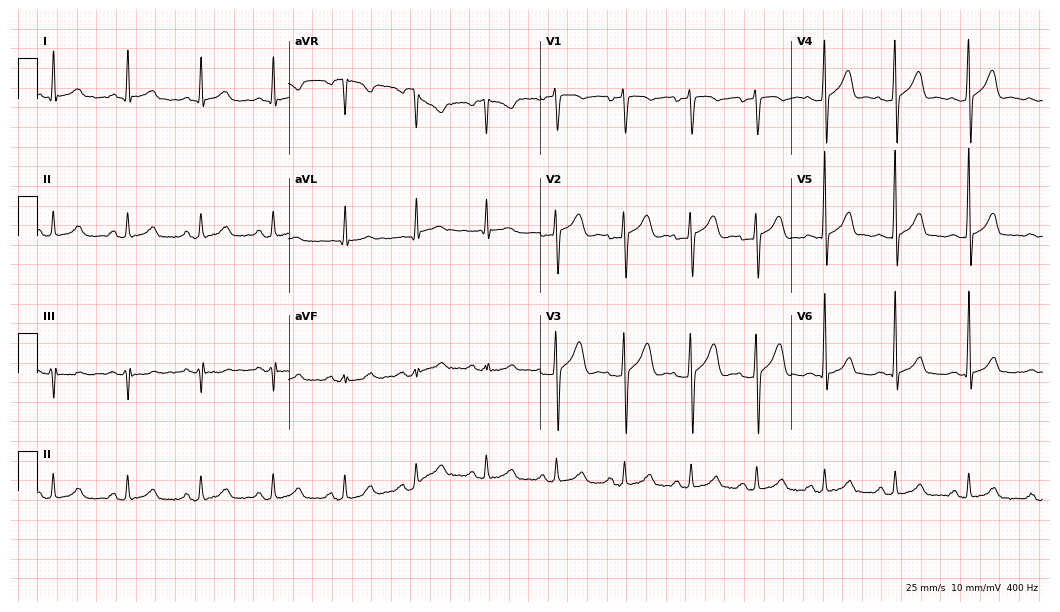
Standard 12-lead ECG recorded from a man, 43 years old (10.2-second recording at 400 Hz). Read as a normal ECG.